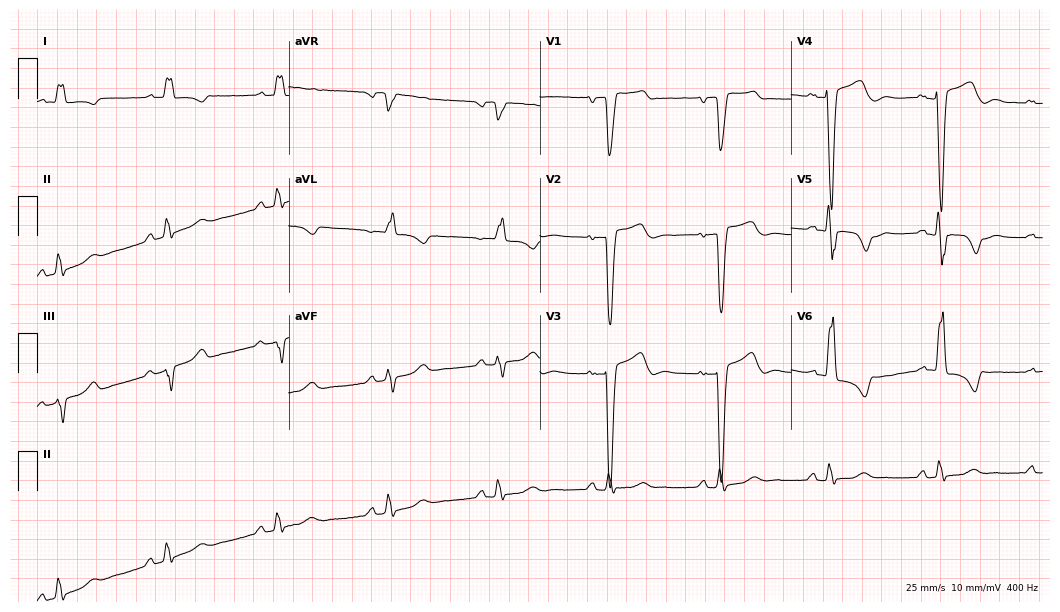
Electrocardiogram, a 78-year-old woman. Interpretation includes left bundle branch block.